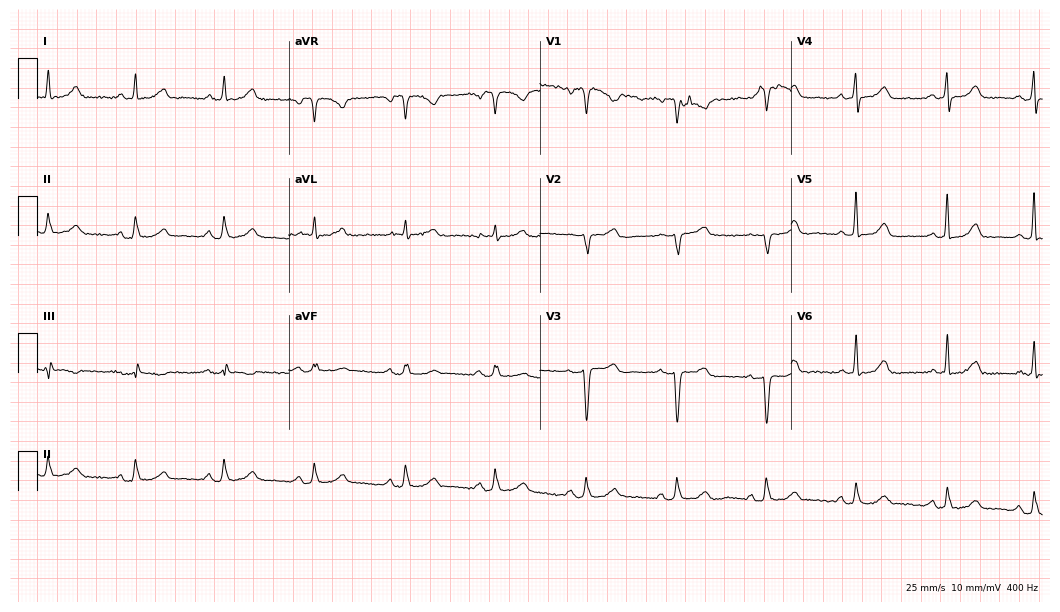
12-lead ECG (10.2-second recording at 400 Hz) from a 50-year-old woman. Screened for six findings — first-degree AV block, right bundle branch block, left bundle branch block, sinus bradycardia, atrial fibrillation, sinus tachycardia — none is recorded. Only these six findings were labelled.